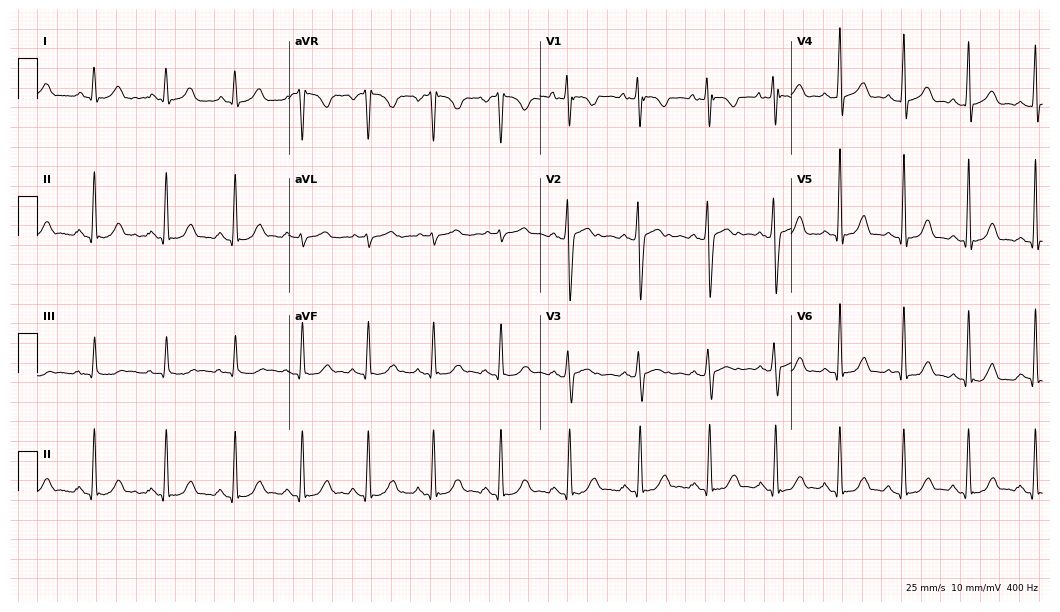
ECG (10.2-second recording at 400 Hz) — a woman, 28 years old. Labelled as a normal ECG.